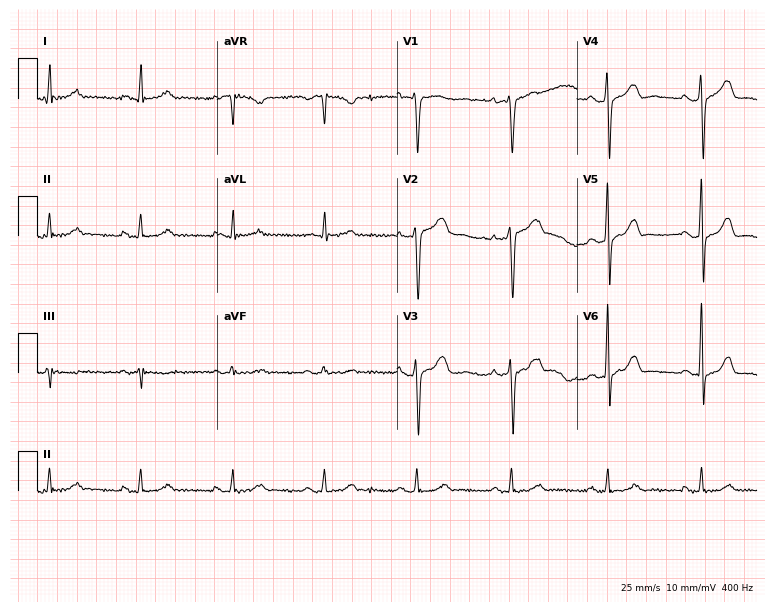
ECG (7.3-second recording at 400 Hz) — a 45-year-old male patient. Screened for six findings — first-degree AV block, right bundle branch block, left bundle branch block, sinus bradycardia, atrial fibrillation, sinus tachycardia — none is recorded. Only these six findings were labelled.